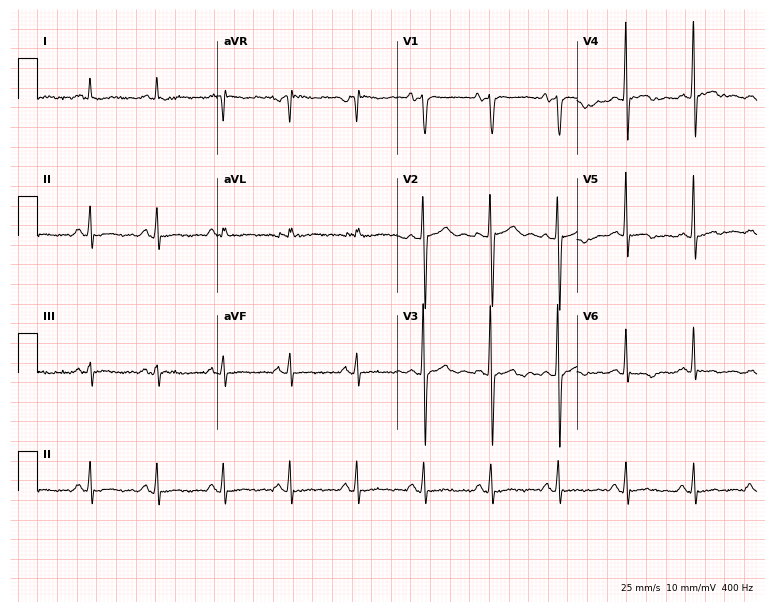
Standard 12-lead ECG recorded from a male patient, 52 years old (7.3-second recording at 400 Hz). None of these six findings is recorded: first-degree AV block, right bundle branch block (RBBB), left bundle branch block (LBBB), sinus bradycardia, atrial fibrillation (AF), sinus tachycardia.